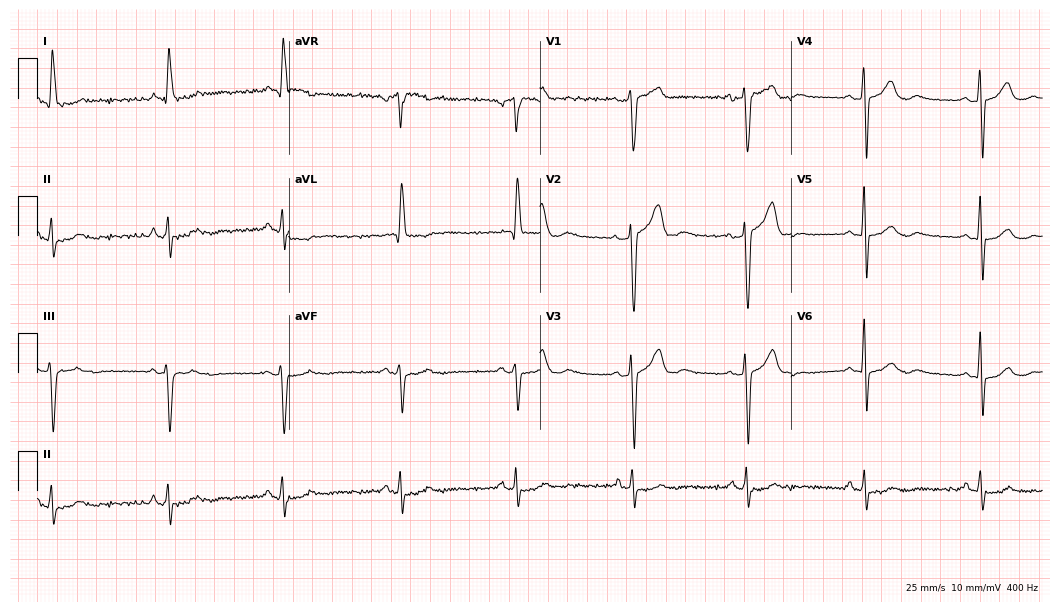
Standard 12-lead ECG recorded from a male, 74 years old (10.2-second recording at 400 Hz). The tracing shows sinus bradycardia (a sinus rate of 50 beats per minute or less).